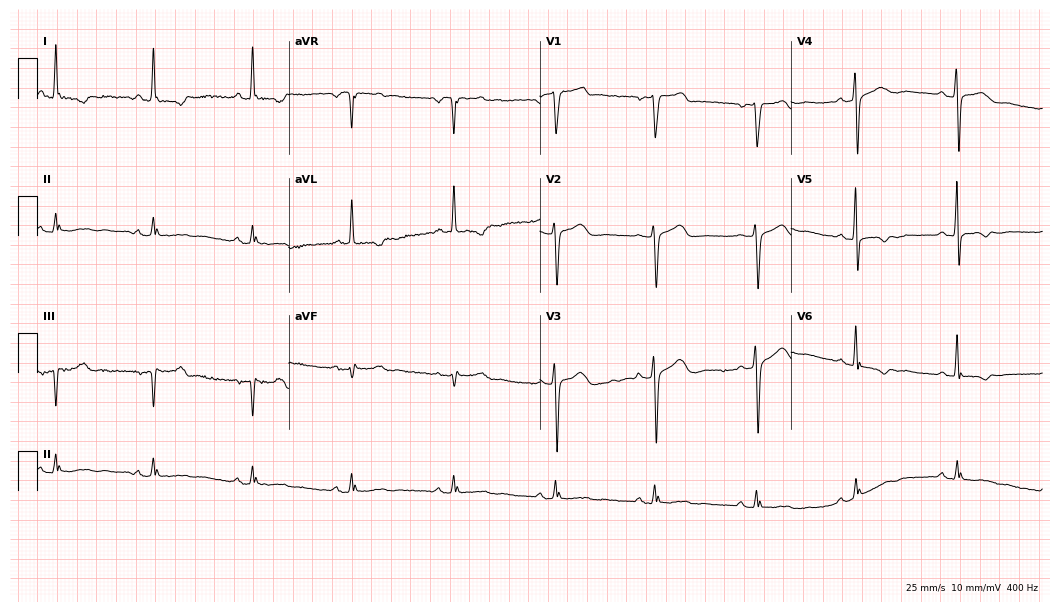
Resting 12-lead electrocardiogram. Patient: a female, 60 years old. None of these six findings is recorded: first-degree AV block, right bundle branch block, left bundle branch block, sinus bradycardia, atrial fibrillation, sinus tachycardia. Only these six findings were labelled.